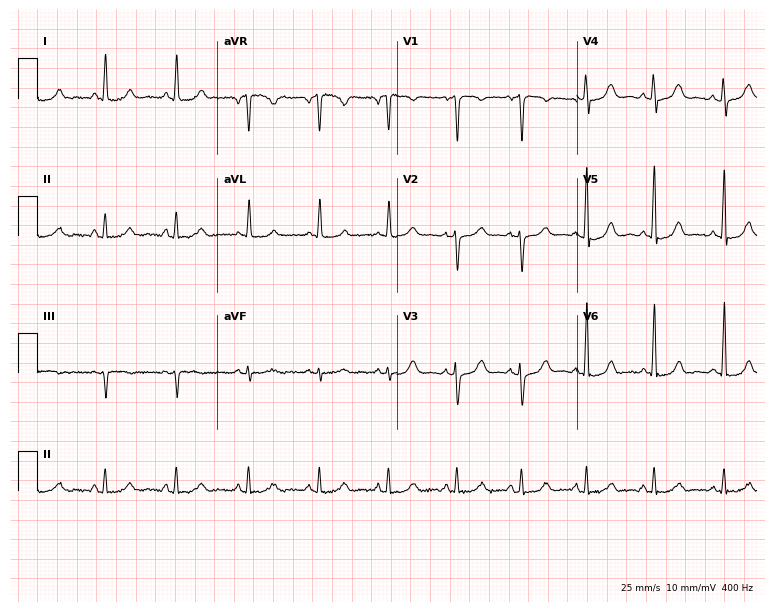
12-lead ECG (7.3-second recording at 400 Hz) from a woman, 48 years old. Labelled as a normal ECG.